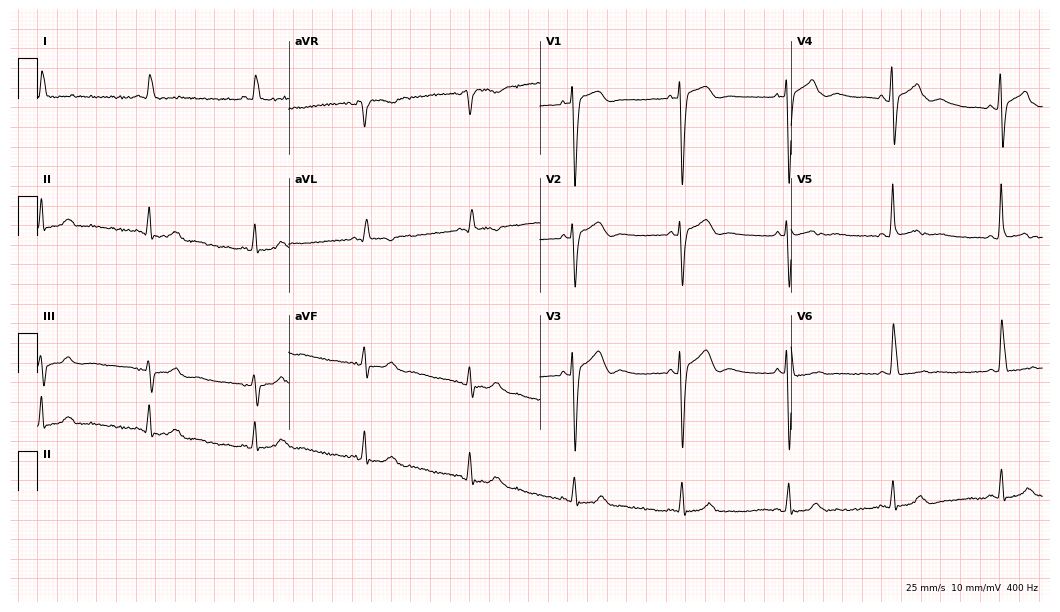
Electrocardiogram (10.2-second recording at 400 Hz), a male, 84 years old. Of the six screened findings (first-degree AV block, right bundle branch block (RBBB), left bundle branch block (LBBB), sinus bradycardia, atrial fibrillation (AF), sinus tachycardia), none is recorded.